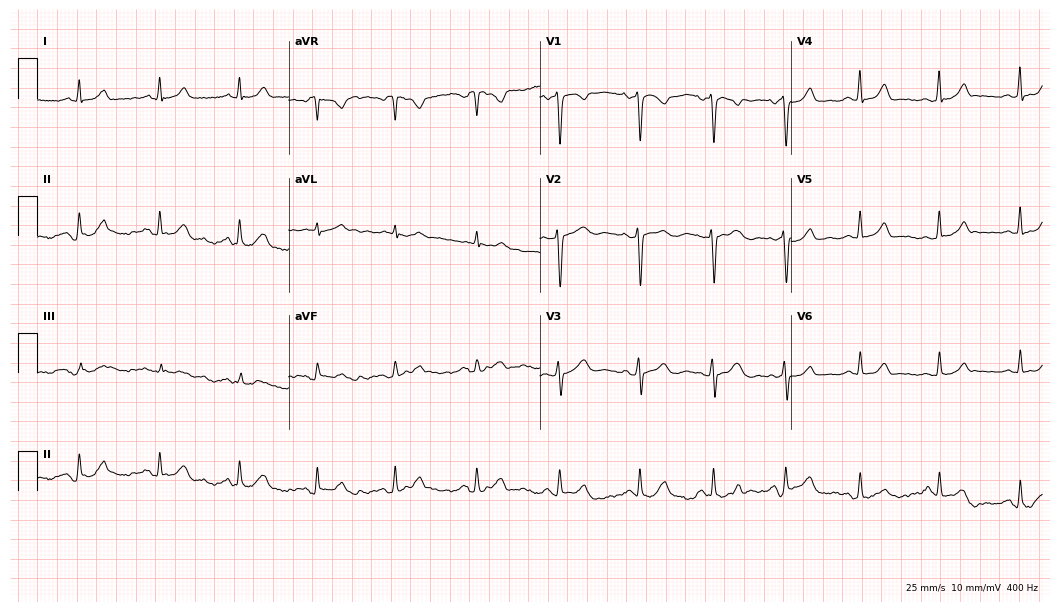
ECG (10.2-second recording at 400 Hz) — a 45-year-old female. Labelled as a normal ECG.